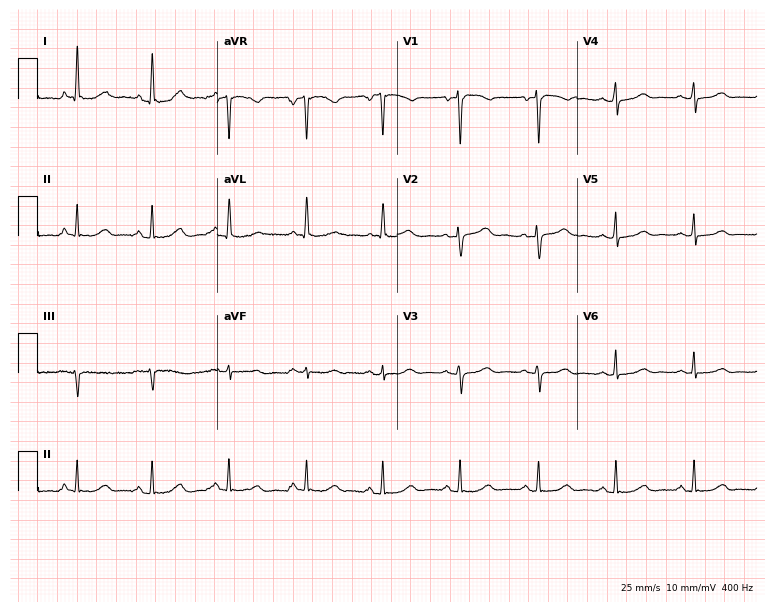
Resting 12-lead electrocardiogram (7.3-second recording at 400 Hz). Patient: a 57-year-old female. None of these six findings is recorded: first-degree AV block, right bundle branch block, left bundle branch block, sinus bradycardia, atrial fibrillation, sinus tachycardia. Other findings, if any, are not listed.